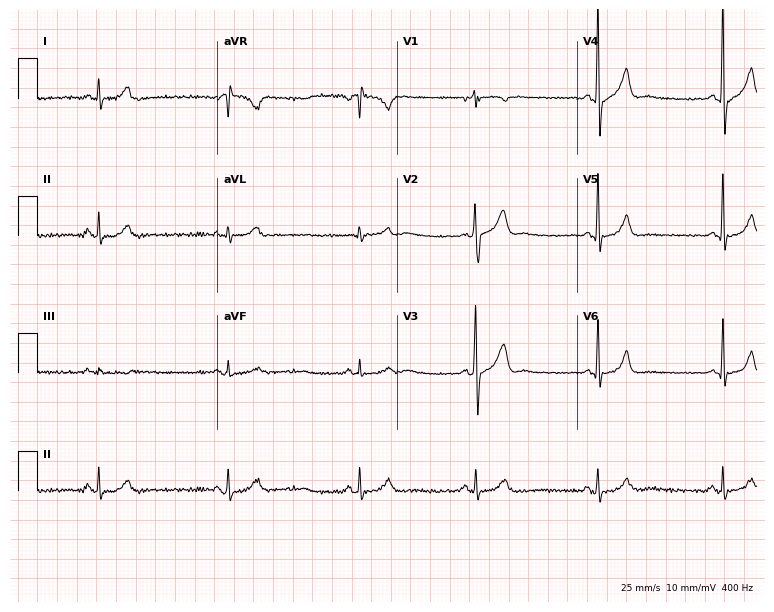
12-lead ECG from a man, 45 years old. Shows sinus bradycardia (a sinus rate of 50 beats per minute or less).